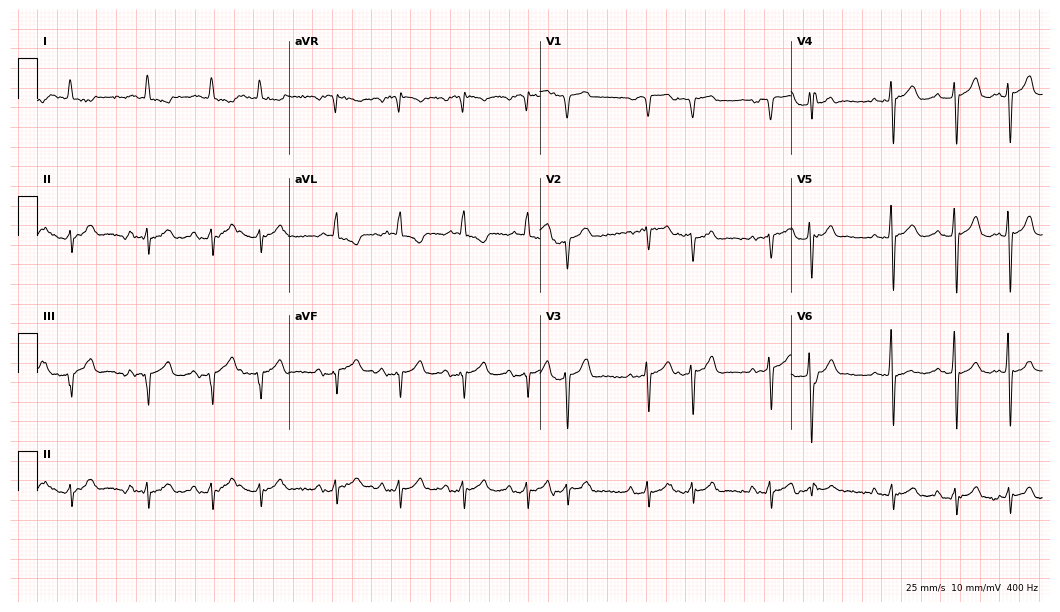
12-lead ECG from a 70-year-old man (10.2-second recording at 400 Hz). No first-degree AV block, right bundle branch block, left bundle branch block, sinus bradycardia, atrial fibrillation or sinus tachycardia recorded for this tracing.